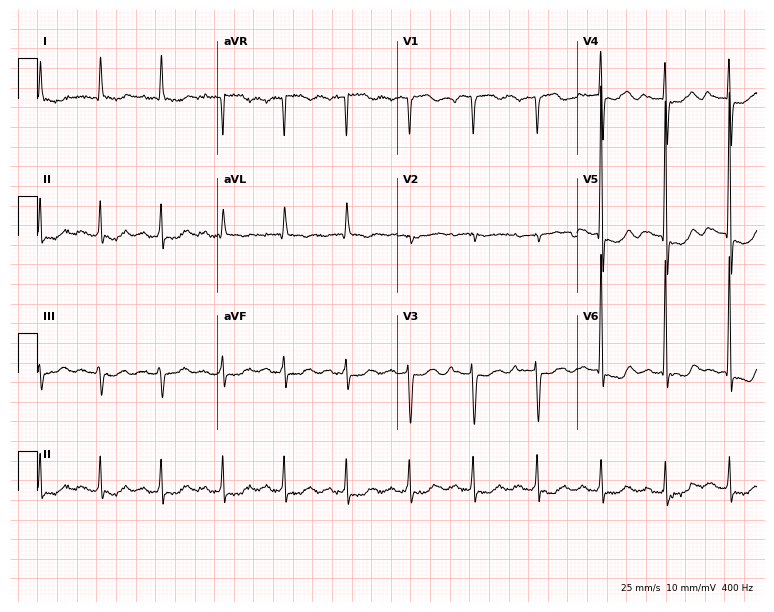
Resting 12-lead electrocardiogram. Patient: a female, 73 years old. None of these six findings is recorded: first-degree AV block, right bundle branch block (RBBB), left bundle branch block (LBBB), sinus bradycardia, atrial fibrillation (AF), sinus tachycardia. Findings outside these six are not listed.